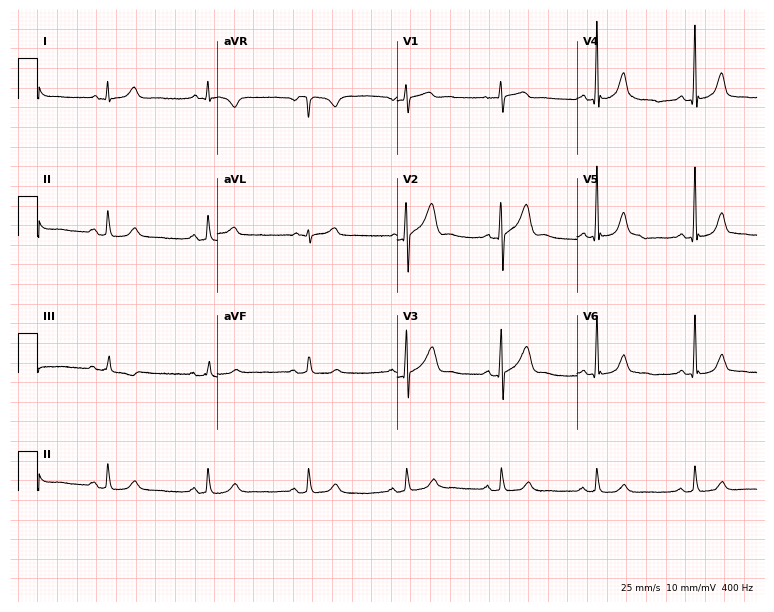
Resting 12-lead electrocardiogram. Patient: a male, 34 years old. Read as a normal ECG.